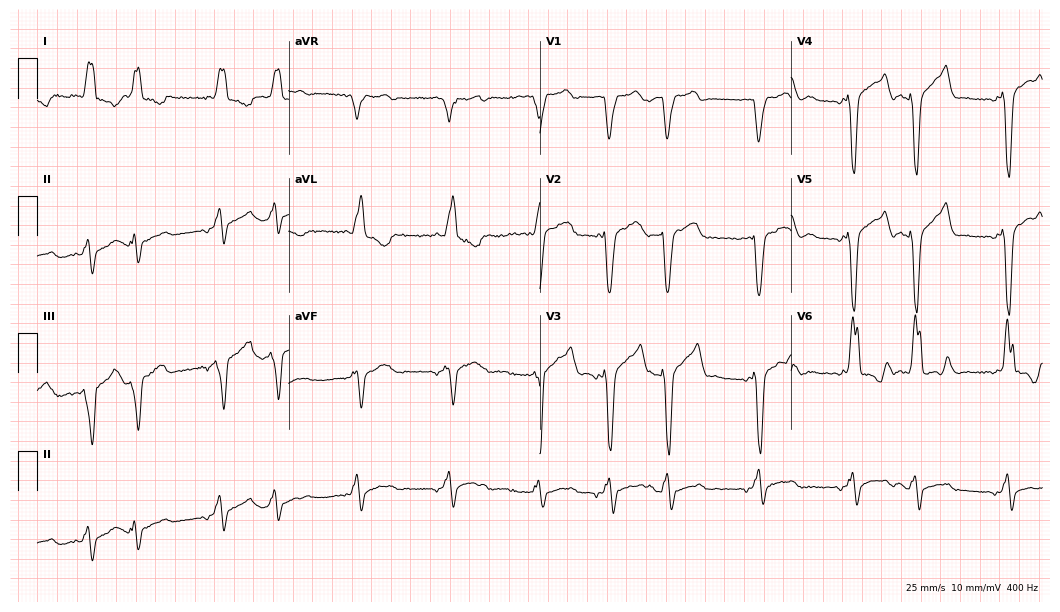
12-lead ECG from a 77-year-old man. Findings include left bundle branch block, atrial fibrillation.